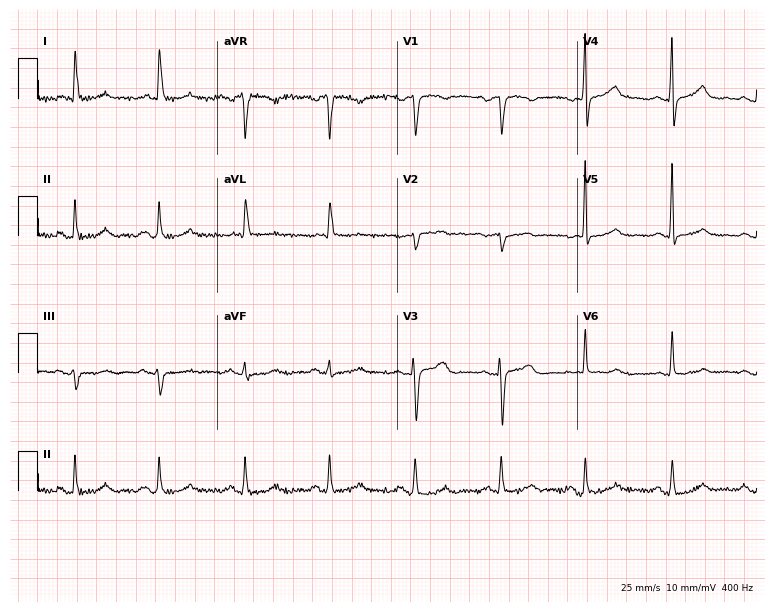
12-lead ECG (7.3-second recording at 400 Hz) from a female, 80 years old. Labelled as a normal ECG.